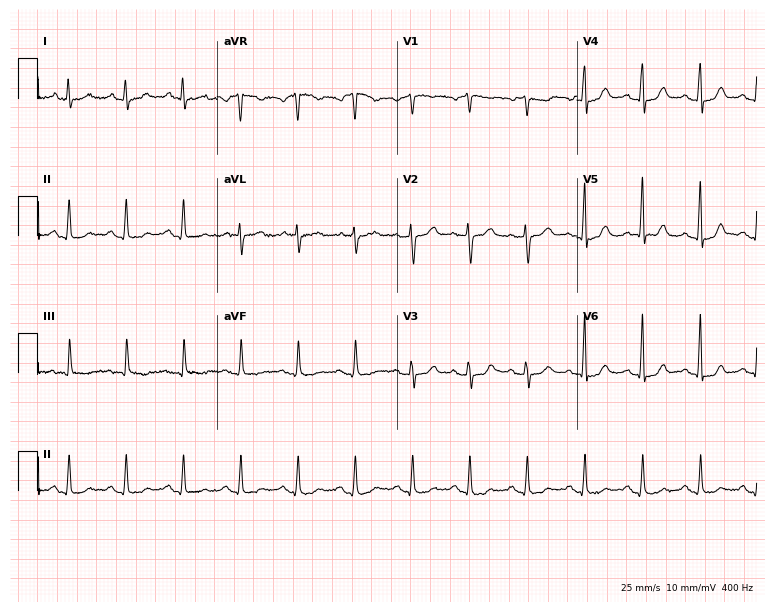
12-lead ECG from an 82-year-old female. Shows sinus tachycardia (a sinus rate of 100 beats per minute or more).